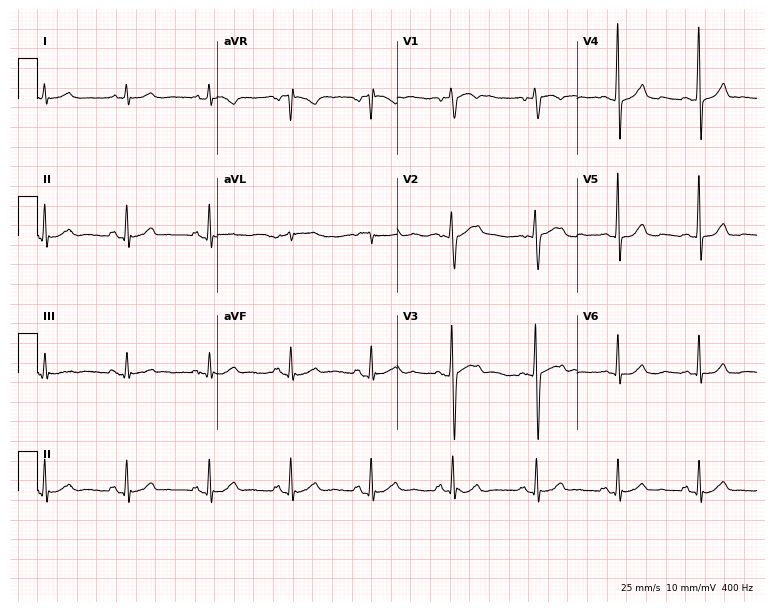
ECG (7.3-second recording at 400 Hz) — a 65-year-old woman. Labelled as a normal ECG.